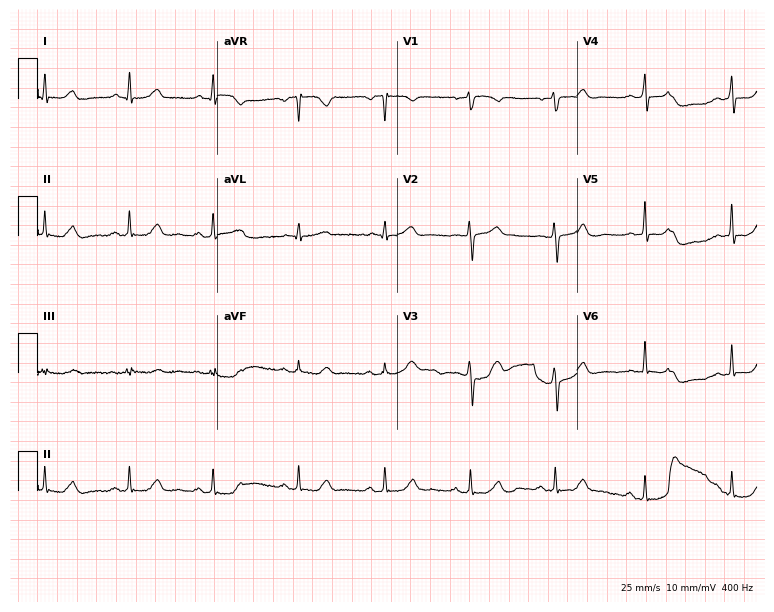
Electrocardiogram (7.3-second recording at 400 Hz), a 62-year-old man. Overall reading on record: normal ECG.